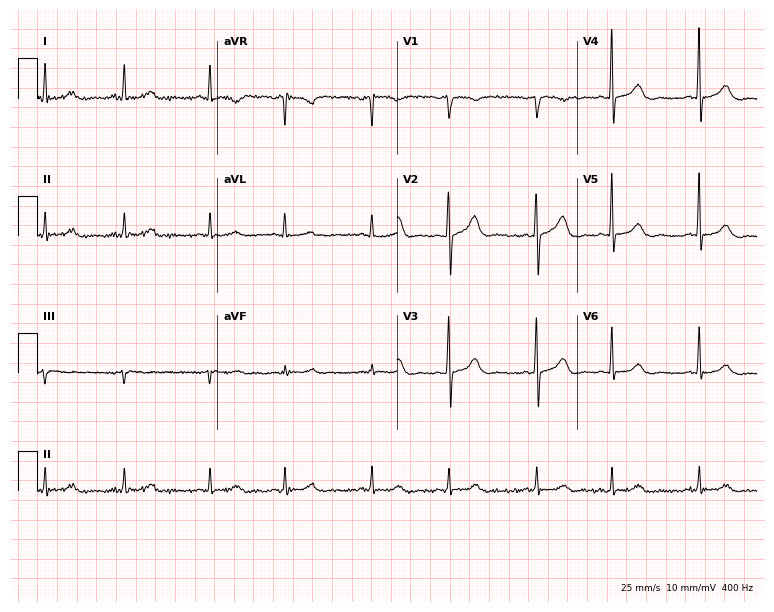
12-lead ECG from a female, 64 years old. Recorded interpretation: within normal limits.